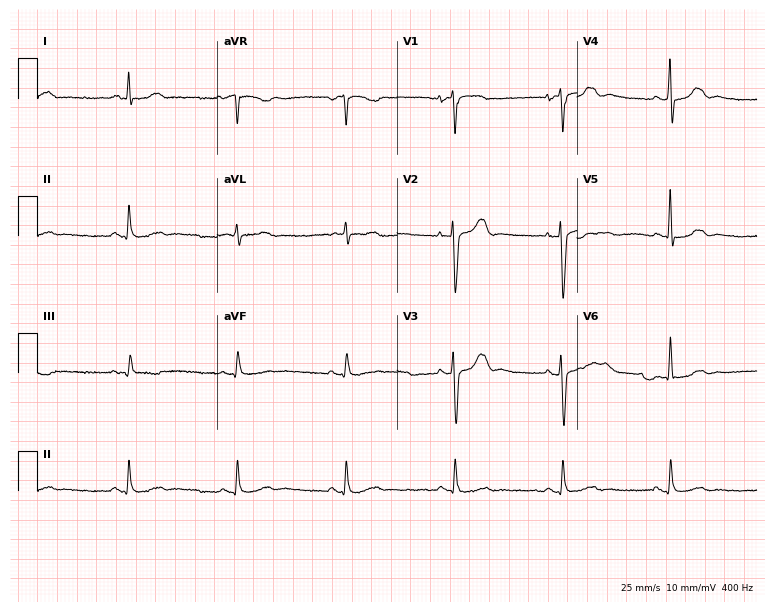
12-lead ECG (7.3-second recording at 400 Hz) from a 77-year-old man. Screened for six findings — first-degree AV block, right bundle branch block, left bundle branch block, sinus bradycardia, atrial fibrillation, sinus tachycardia — none is recorded.